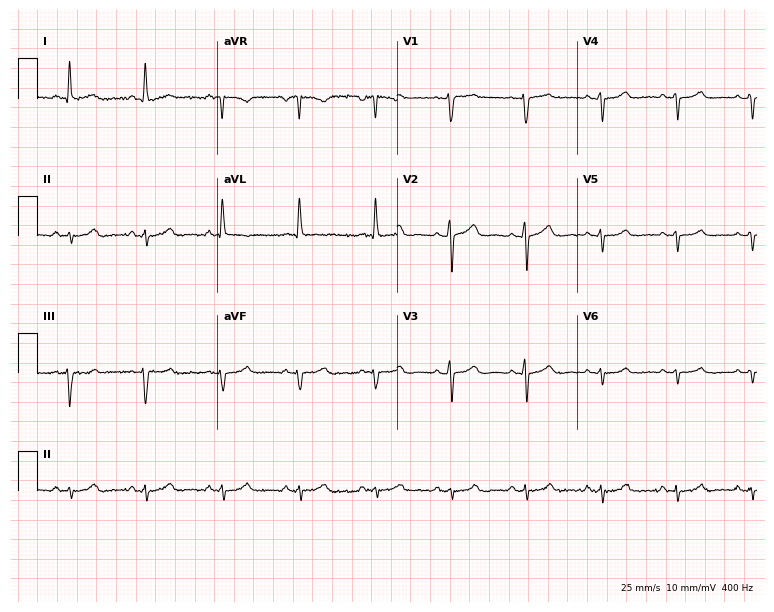
12-lead ECG from a 52-year-old man. No first-degree AV block, right bundle branch block (RBBB), left bundle branch block (LBBB), sinus bradycardia, atrial fibrillation (AF) or sinus tachycardia recorded for this tracing.